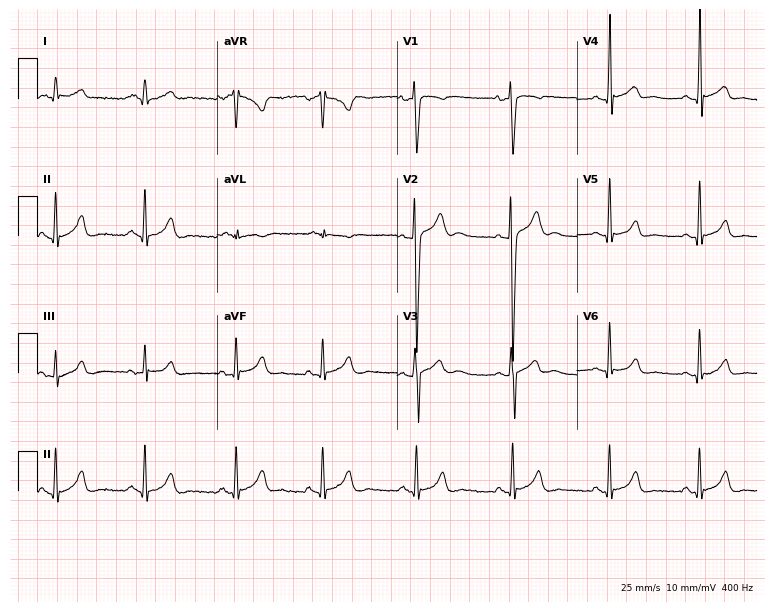
ECG (7.3-second recording at 400 Hz) — a male, 19 years old. Screened for six findings — first-degree AV block, right bundle branch block, left bundle branch block, sinus bradycardia, atrial fibrillation, sinus tachycardia — none is recorded. Only these six findings were labelled.